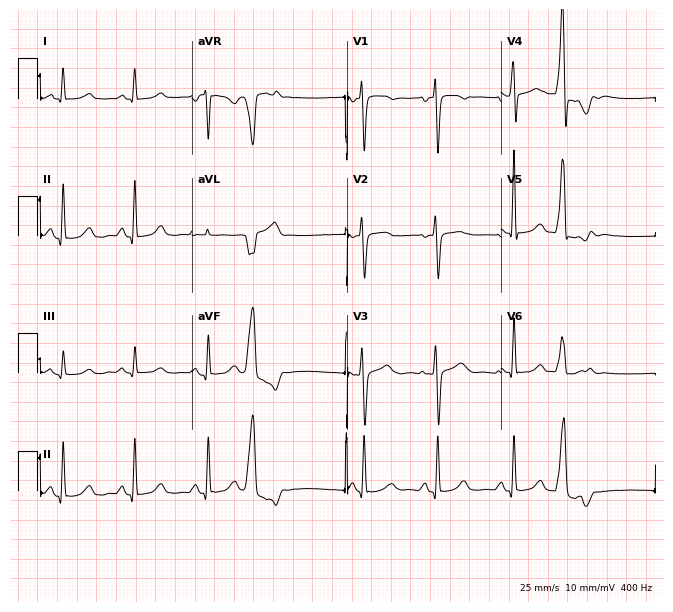
Electrocardiogram (6.3-second recording at 400 Hz), a male, 24 years old. Of the six screened findings (first-degree AV block, right bundle branch block (RBBB), left bundle branch block (LBBB), sinus bradycardia, atrial fibrillation (AF), sinus tachycardia), none is recorded.